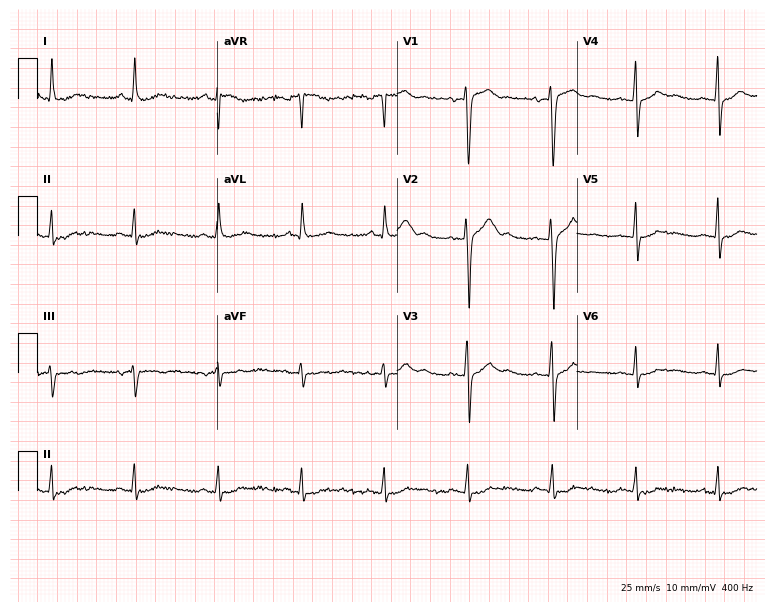
Resting 12-lead electrocardiogram (7.3-second recording at 400 Hz). Patient: a 47-year-old female. None of these six findings is recorded: first-degree AV block, right bundle branch block, left bundle branch block, sinus bradycardia, atrial fibrillation, sinus tachycardia. Other findings, if any, are not listed.